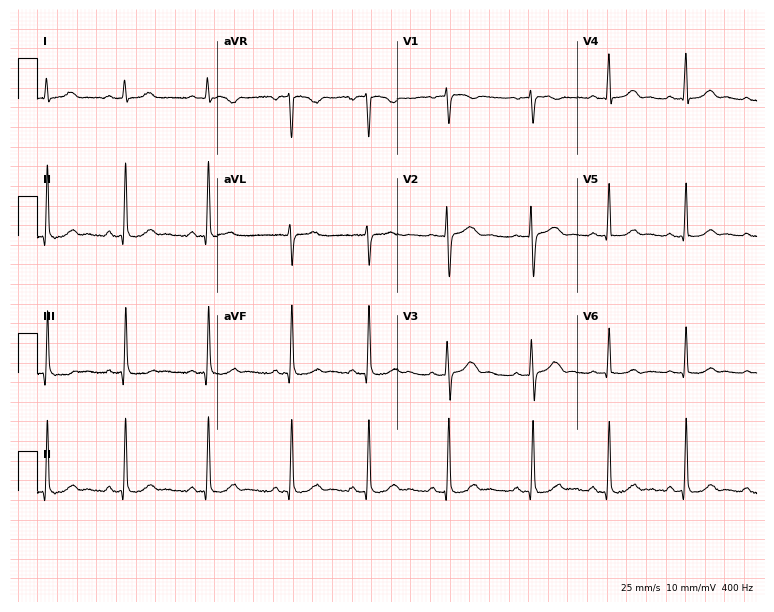
Electrocardiogram, a female, 23 years old. Overall reading on record: normal ECG.